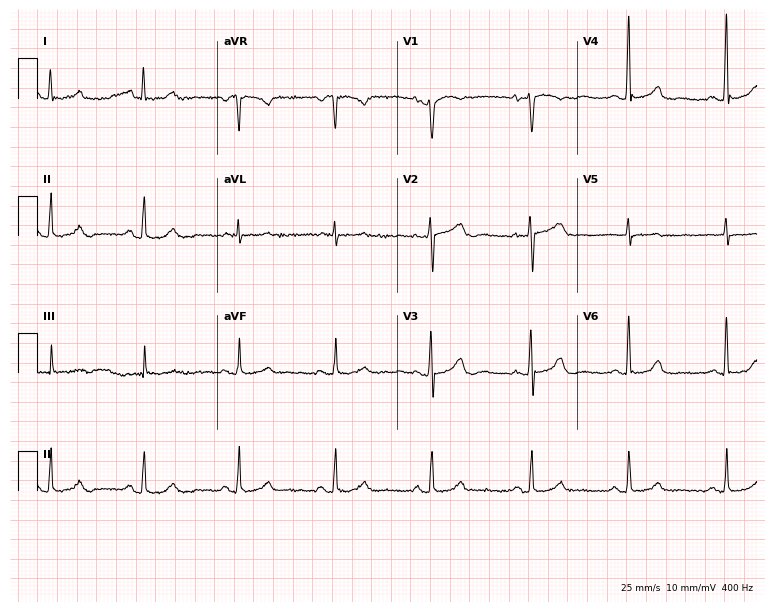
ECG (7.3-second recording at 400 Hz) — a woman, 53 years old. Labelled as a normal ECG.